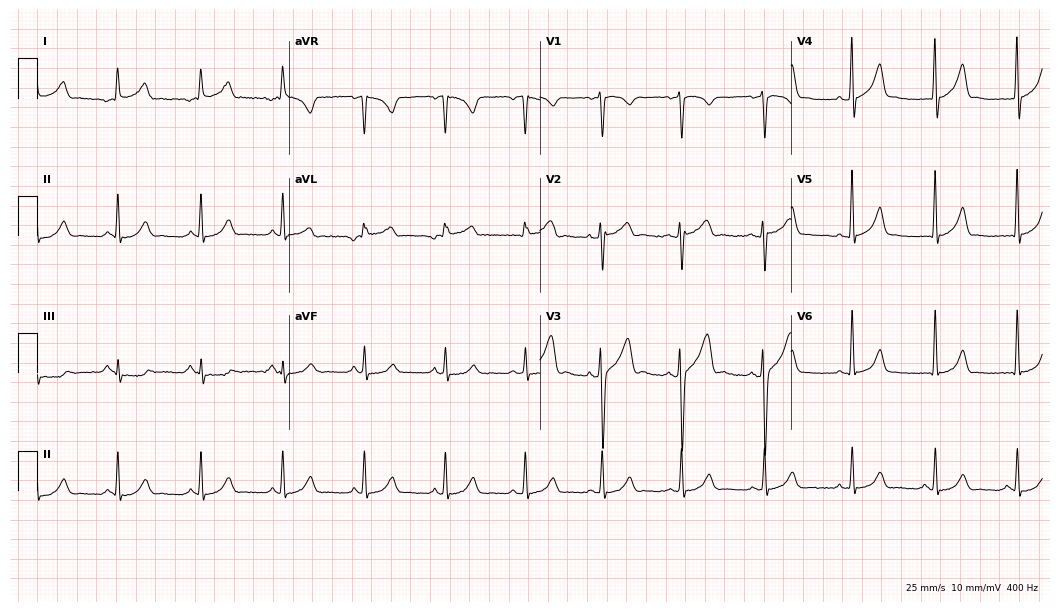
12-lead ECG from a male, 35 years old. Screened for six findings — first-degree AV block, right bundle branch block, left bundle branch block, sinus bradycardia, atrial fibrillation, sinus tachycardia — none is recorded. Only these six findings were labelled.